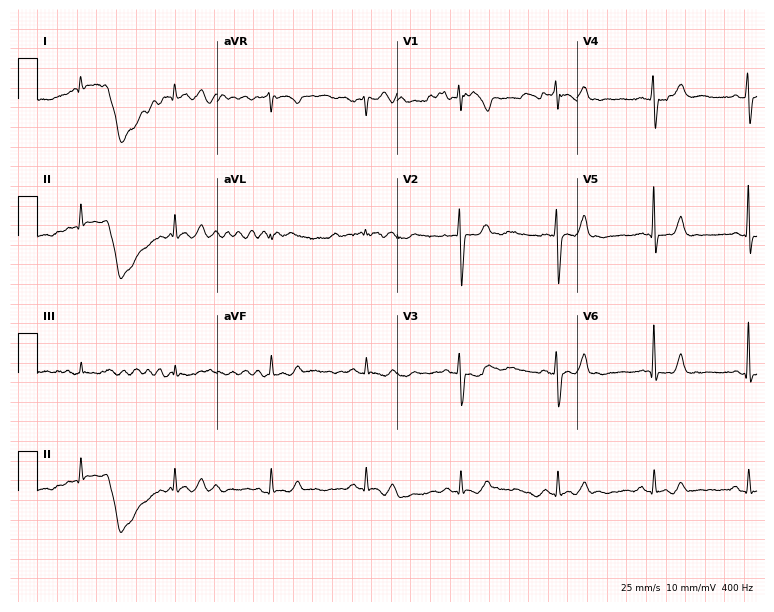
12-lead ECG from a 62-year-old male. No first-degree AV block, right bundle branch block (RBBB), left bundle branch block (LBBB), sinus bradycardia, atrial fibrillation (AF) or sinus tachycardia recorded for this tracing. Other findings, if any, are not listed.